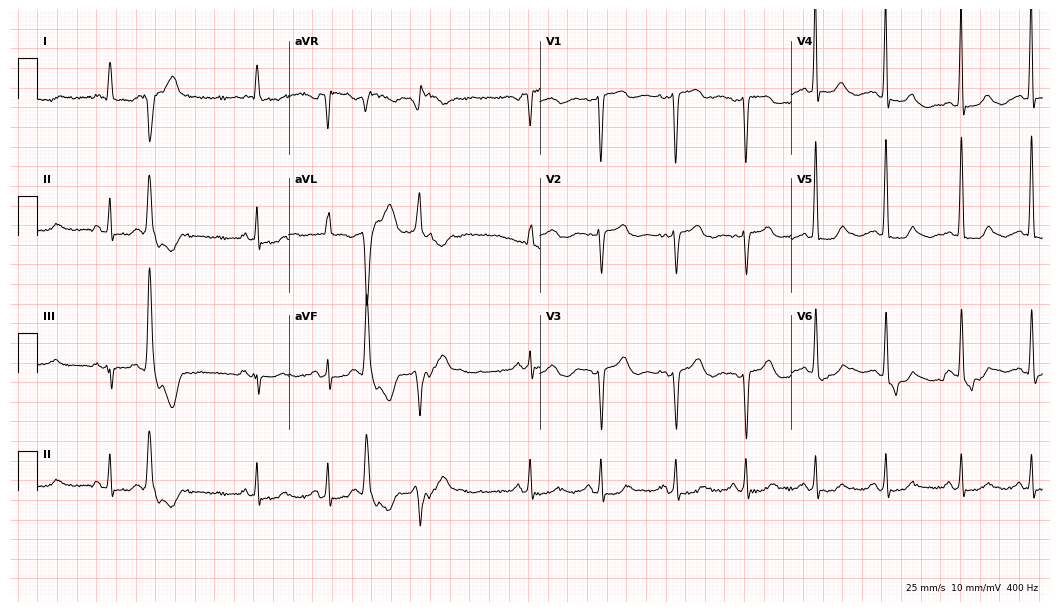
12-lead ECG (10.2-second recording at 400 Hz) from a female patient, 82 years old. Screened for six findings — first-degree AV block, right bundle branch block, left bundle branch block, sinus bradycardia, atrial fibrillation, sinus tachycardia — none is recorded.